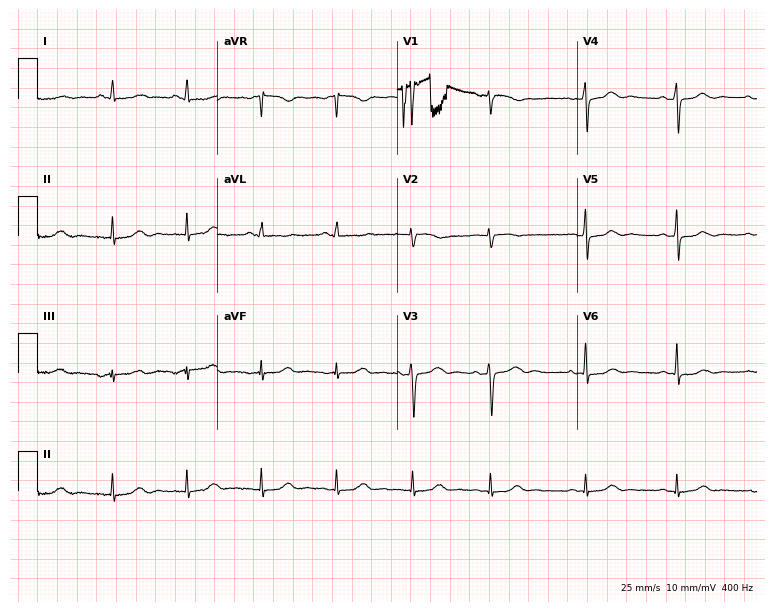
Standard 12-lead ECG recorded from a female patient, 81 years old. None of these six findings is recorded: first-degree AV block, right bundle branch block, left bundle branch block, sinus bradycardia, atrial fibrillation, sinus tachycardia. Other findings, if any, are not listed.